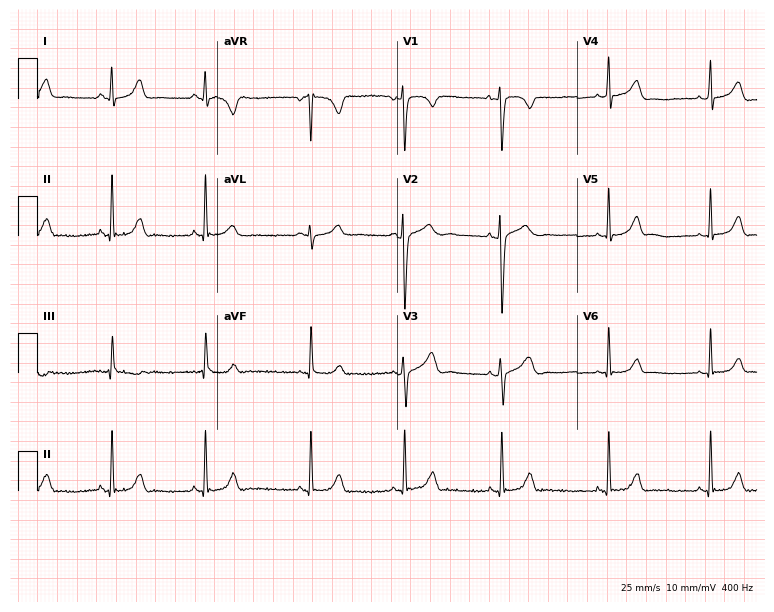
12-lead ECG from a 17-year-old woman (7.3-second recording at 400 Hz). No first-degree AV block, right bundle branch block, left bundle branch block, sinus bradycardia, atrial fibrillation or sinus tachycardia recorded for this tracing.